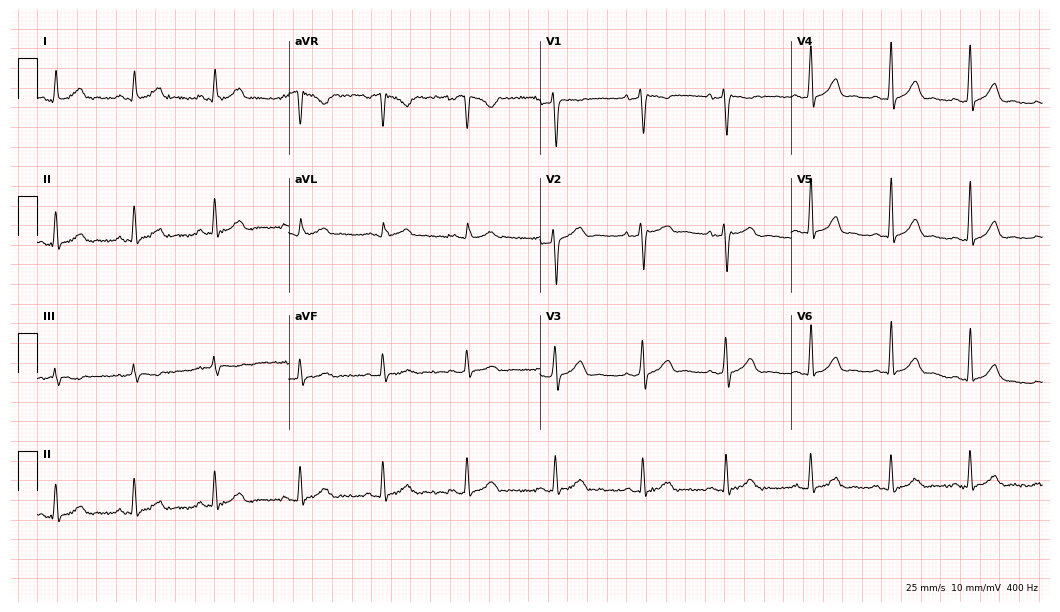
ECG — a 36-year-old female. Labelled as a normal ECG.